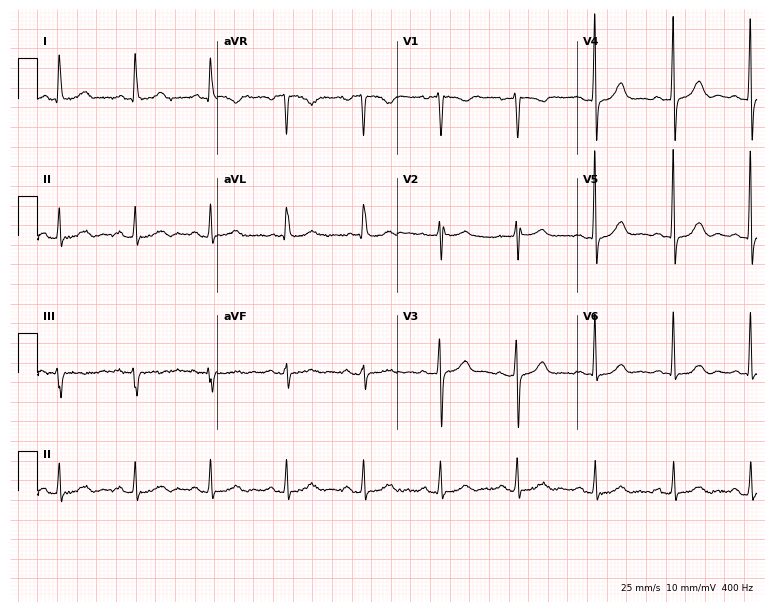
12-lead ECG from a 60-year-old female patient. Labelled as a normal ECG.